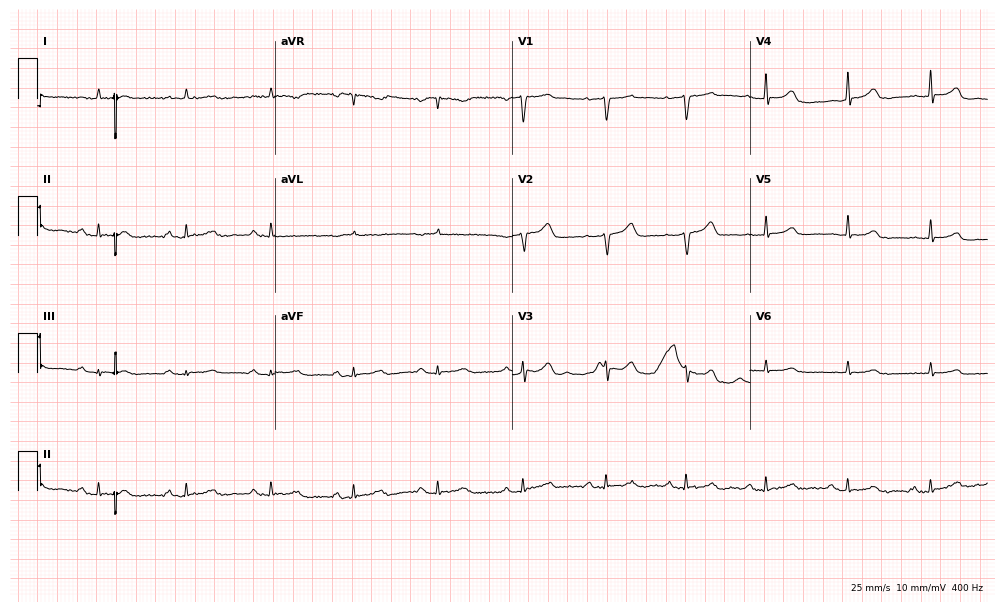
12-lead ECG from a woman, 63 years old (9.7-second recording at 400 Hz). Recorded interpretation: within normal limits.